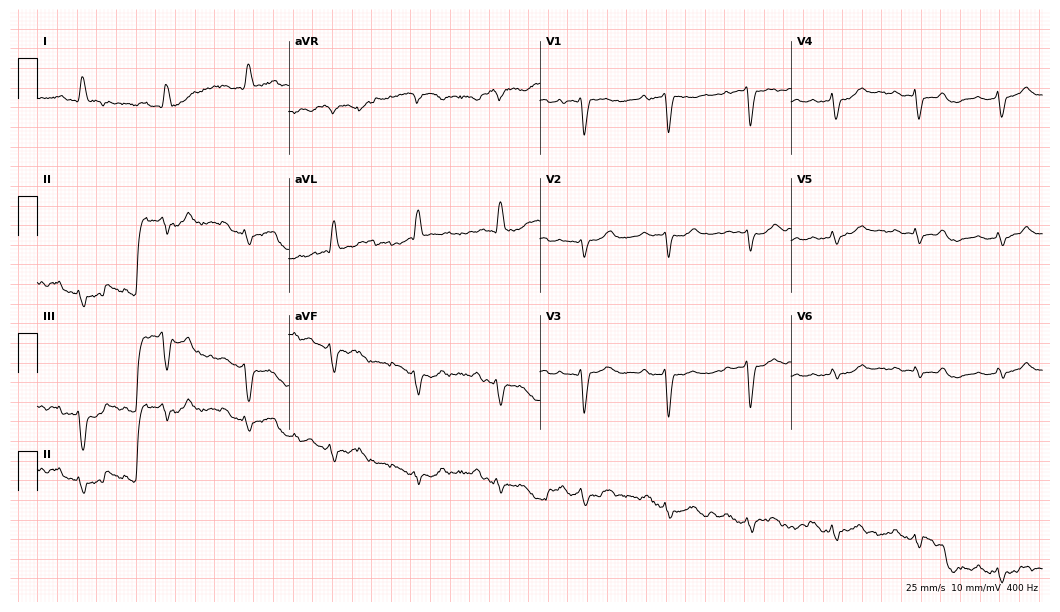
Electrocardiogram (10.2-second recording at 400 Hz), a female patient, 79 years old. Of the six screened findings (first-degree AV block, right bundle branch block (RBBB), left bundle branch block (LBBB), sinus bradycardia, atrial fibrillation (AF), sinus tachycardia), none is recorded. Findings outside these six are not listed.